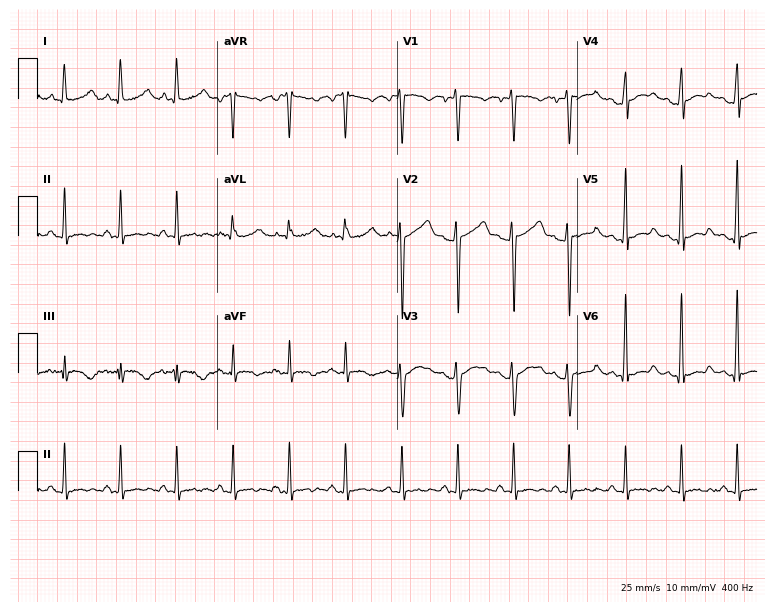
12-lead ECG (7.3-second recording at 400 Hz) from a 29-year-old man. Findings include sinus tachycardia (a sinus rate of 100 beats per minute or more).